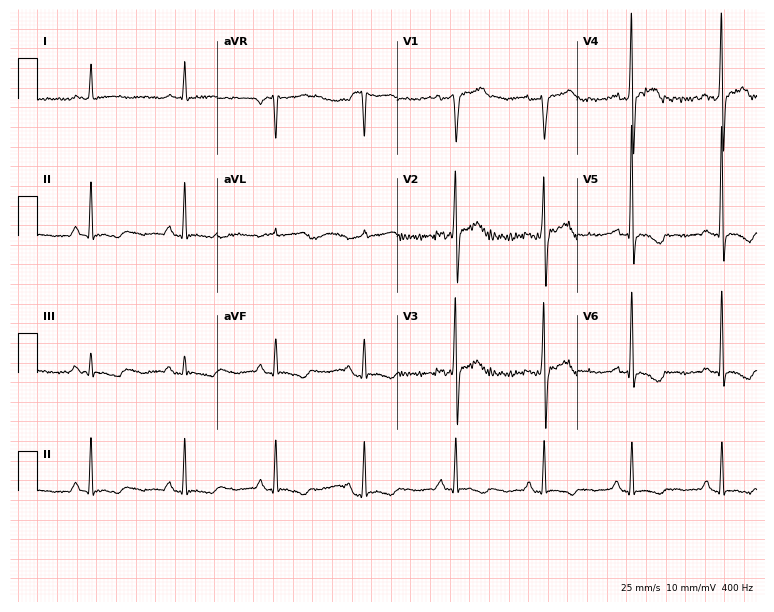
12-lead ECG from a 50-year-old man (7.3-second recording at 400 Hz). No first-degree AV block, right bundle branch block, left bundle branch block, sinus bradycardia, atrial fibrillation or sinus tachycardia recorded for this tracing.